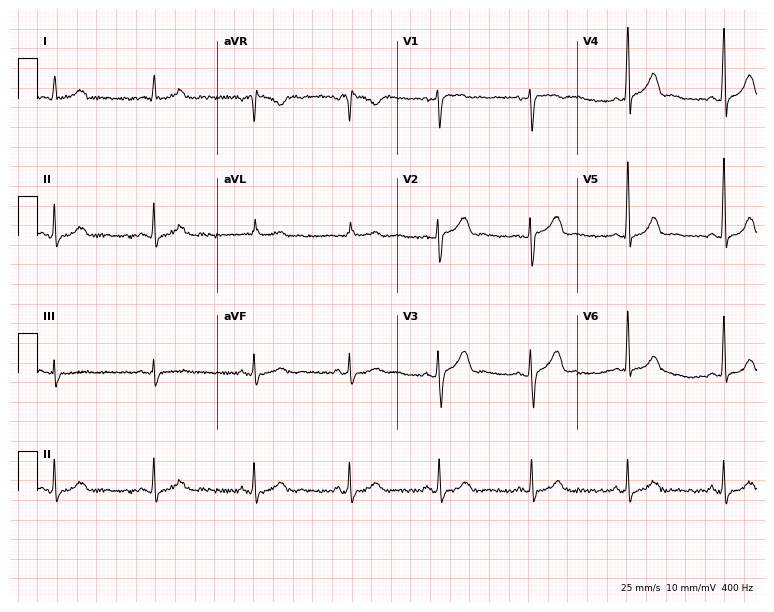
Electrocardiogram (7.3-second recording at 400 Hz), a 39-year-old female. Overall reading on record: normal ECG.